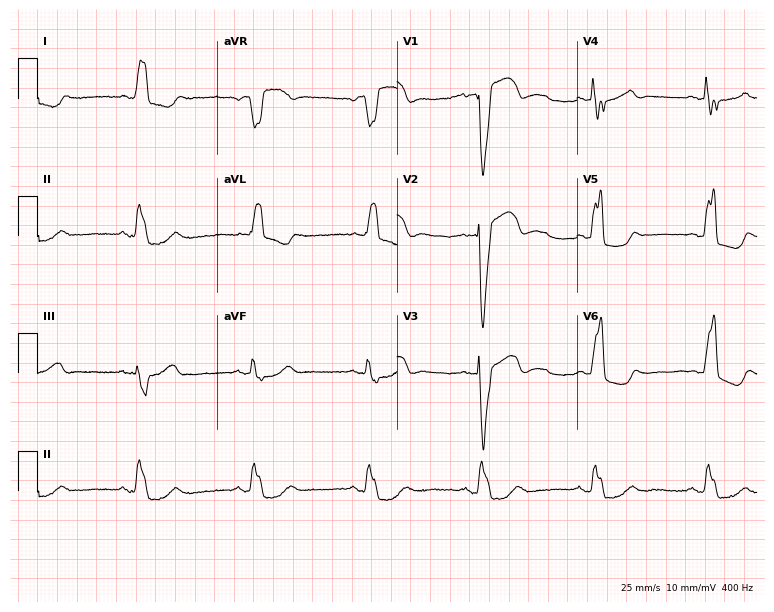
Electrocardiogram, a 79-year-old female. Interpretation includes left bundle branch block (LBBB).